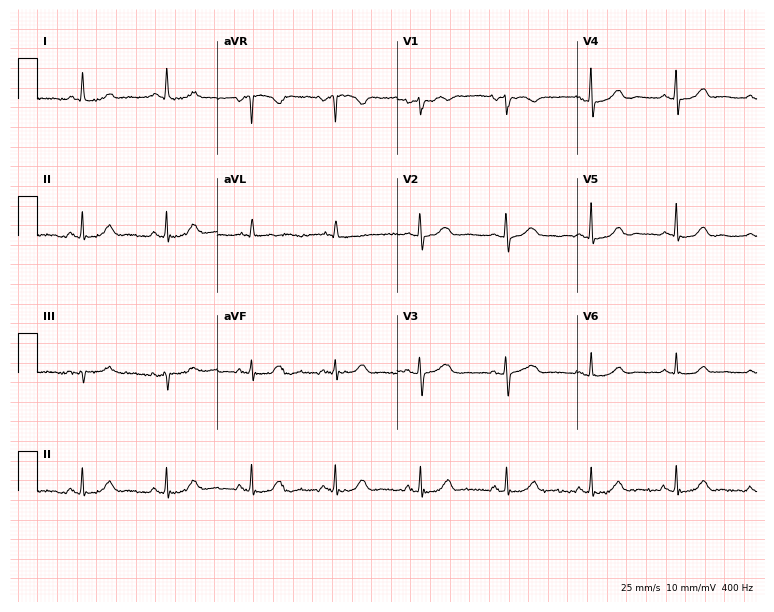
12-lead ECG from a 60-year-old female. Labelled as a normal ECG.